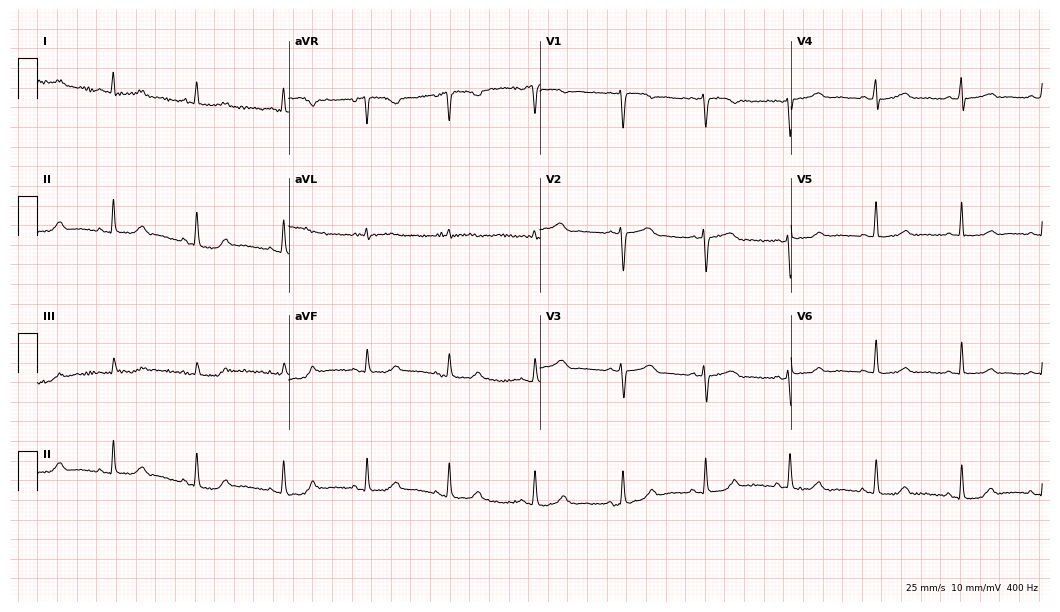
12-lead ECG from a 60-year-old female patient. Labelled as a normal ECG.